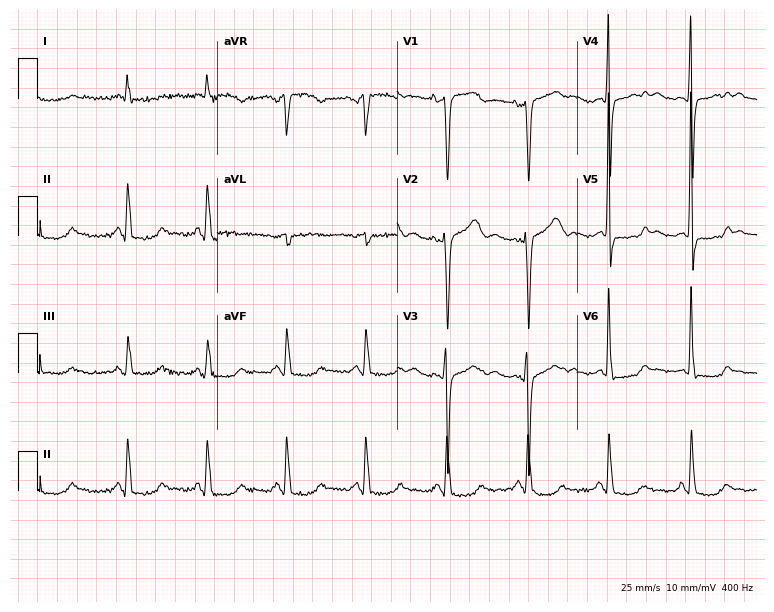
12-lead ECG from a female patient, 57 years old (7.3-second recording at 400 Hz). No first-degree AV block, right bundle branch block, left bundle branch block, sinus bradycardia, atrial fibrillation or sinus tachycardia recorded for this tracing. Other findings, if any, are not listed.